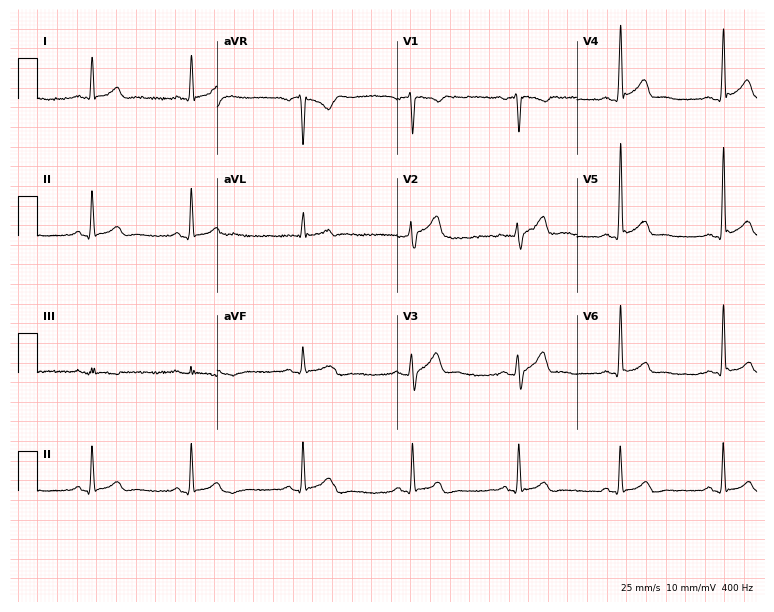
Electrocardiogram, a male, 45 years old. Overall reading on record: normal ECG.